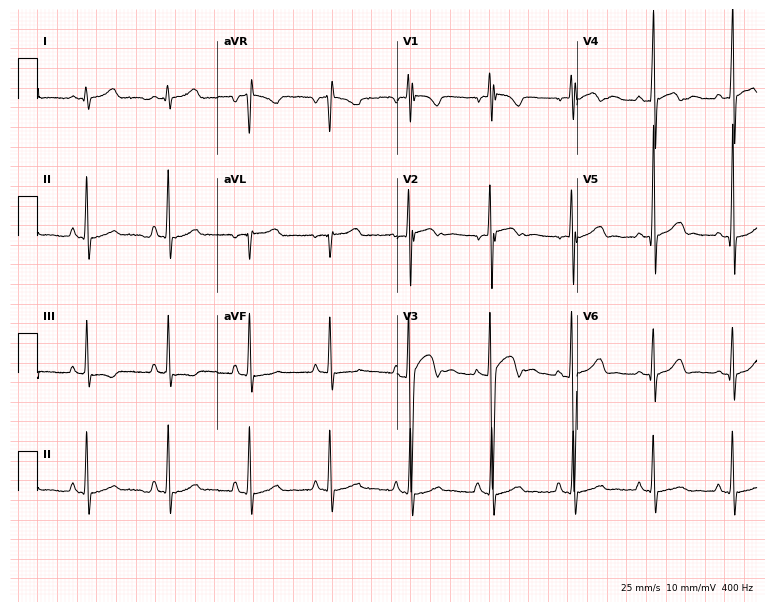
12-lead ECG from a male, 17 years old. Labelled as a normal ECG.